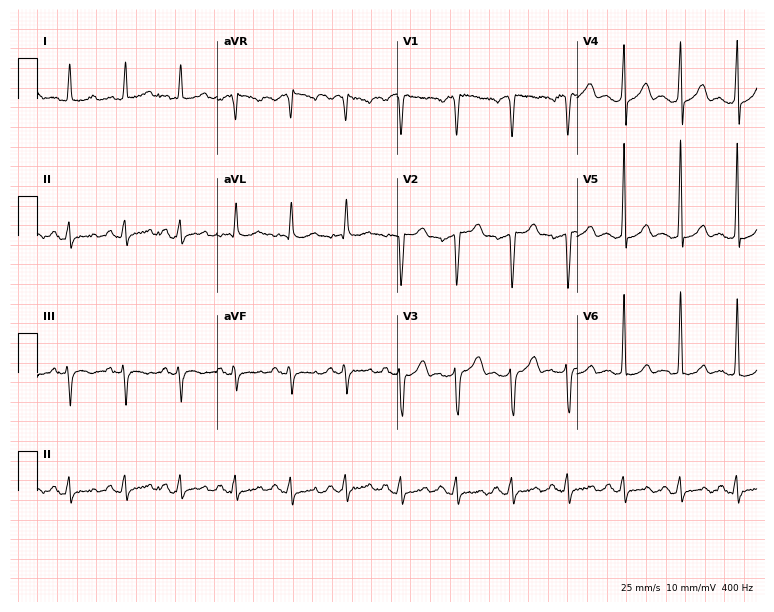
ECG — a 49-year-old male. Findings include sinus tachycardia (a sinus rate of 100 beats per minute or more).